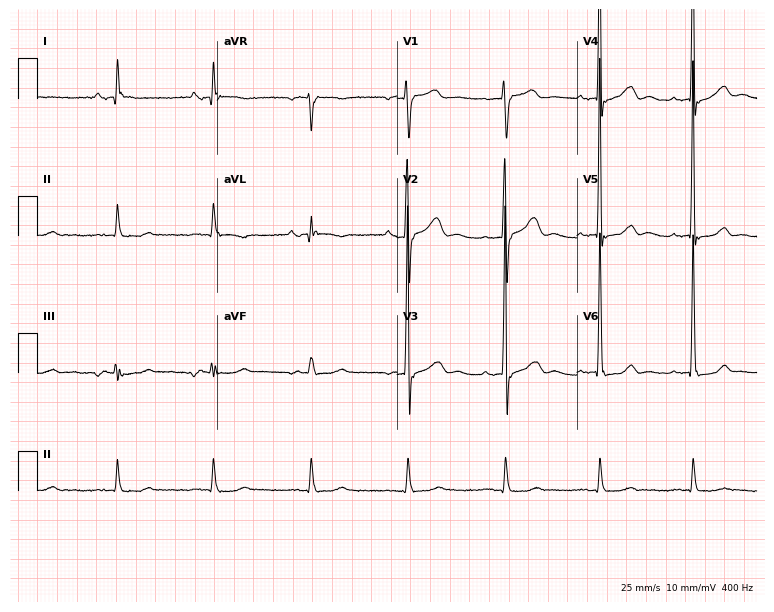
Standard 12-lead ECG recorded from a male, 76 years old (7.3-second recording at 400 Hz). None of these six findings is recorded: first-degree AV block, right bundle branch block (RBBB), left bundle branch block (LBBB), sinus bradycardia, atrial fibrillation (AF), sinus tachycardia. Findings outside these six are not listed.